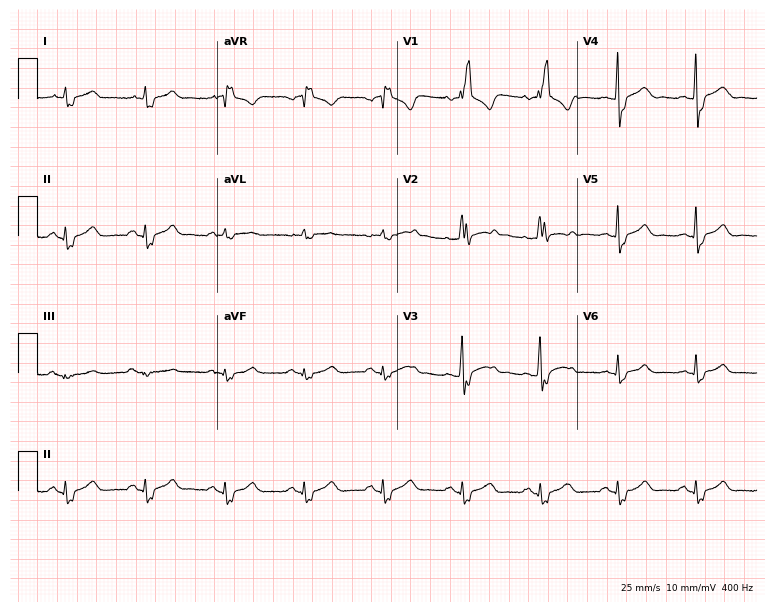
ECG (7.3-second recording at 400 Hz) — a 43-year-old man. Findings include right bundle branch block (RBBB).